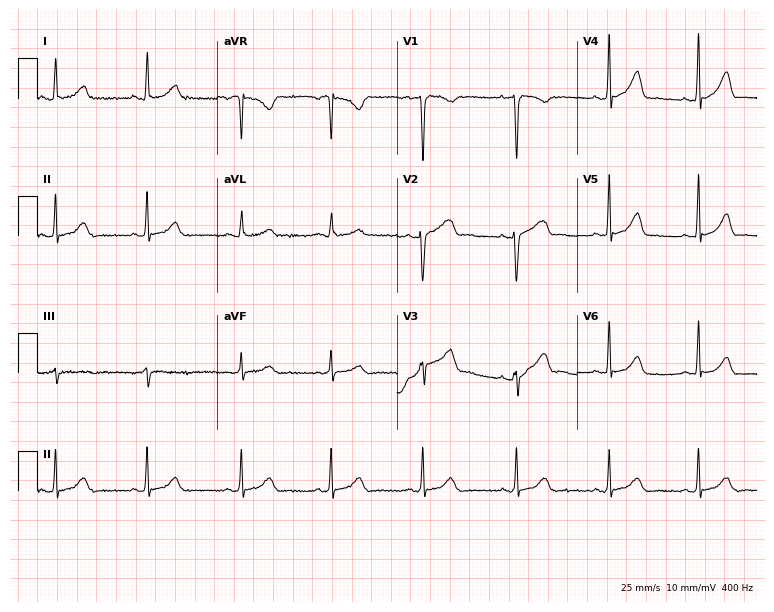
12-lead ECG from a 30-year-old female (7.3-second recording at 400 Hz). Recorded interpretation: within normal limits.